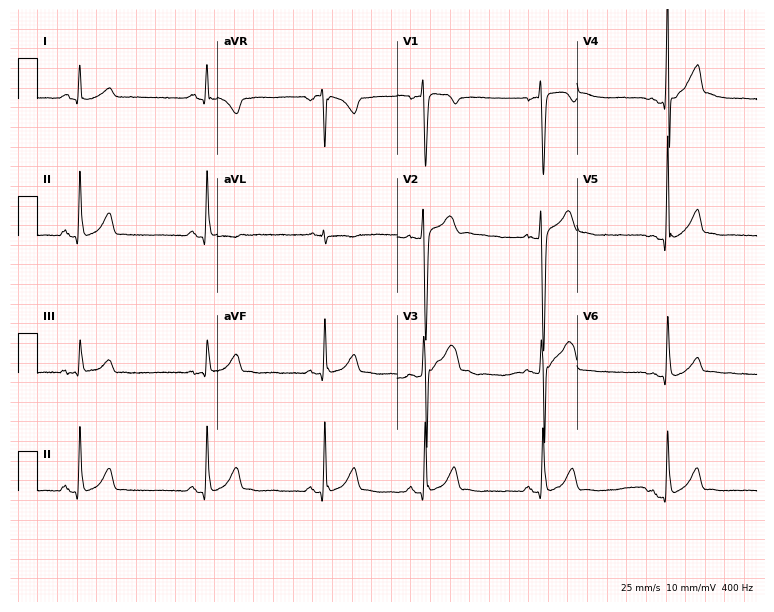
Standard 12-lead ECG recorded from a man, 18 years old. Read as a normal ECG.